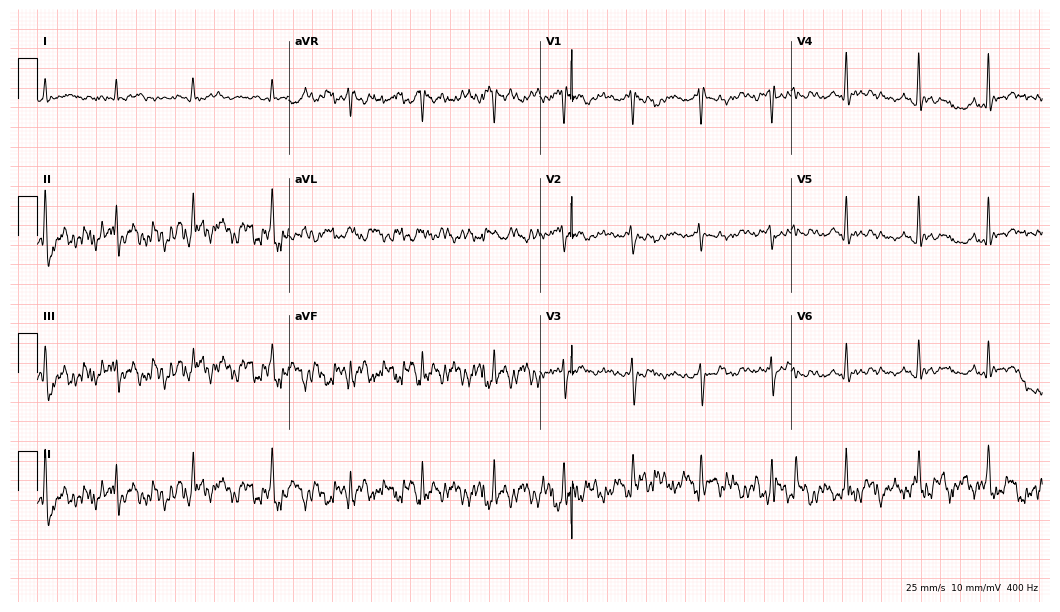
Resting 12-lead electrocardiogram. Patient: a woman, 35 years old. None of these six findings is recorded: first-degree AV block, right bundle branch block (RBBB), left bundle branch block (LBBB), sinus bradycardia, atrial fibrillation (AF), sinus tachycardia. Findings outside these six are not listed.